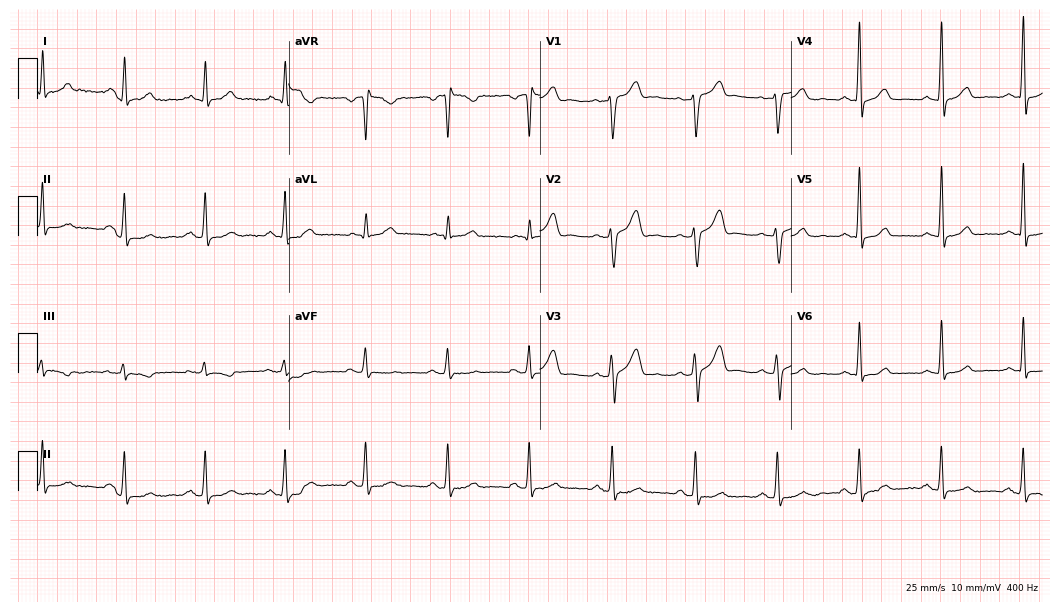
12-lead ECG from a 52-year-old man (10.2-second recording at 400 Hz). Recorded interpretation: within normal limits.